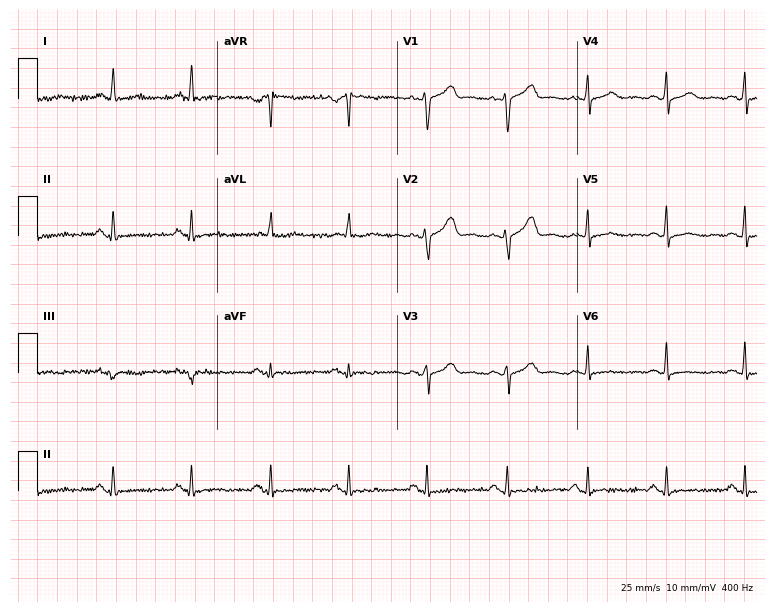
12-lead ECG from a female, 52 years old. No first-degree AV block, right bundle branch block, left bundle branch block, sinus bradycardia, atrial fibrillation or sinus tachycardia recorded for this tracing. Findings outside these six are not listed.